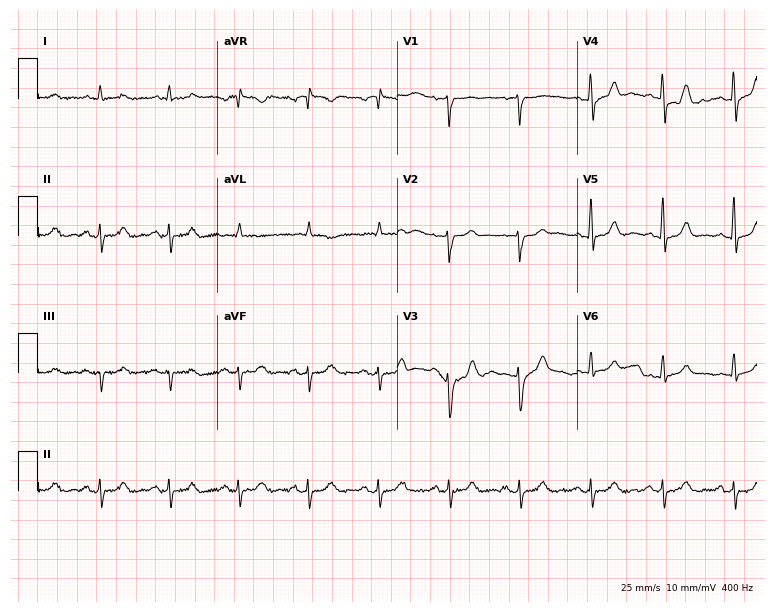
Electrocardiogram (7.3-second recording at 400 Hz), a man, 71 years old. Of the six screened findings (first-degree AV block, right bundle branch block, left bundle branch block, sinus bradycardia, atrial fibrillation, sinus tachycardia), none is recorded.